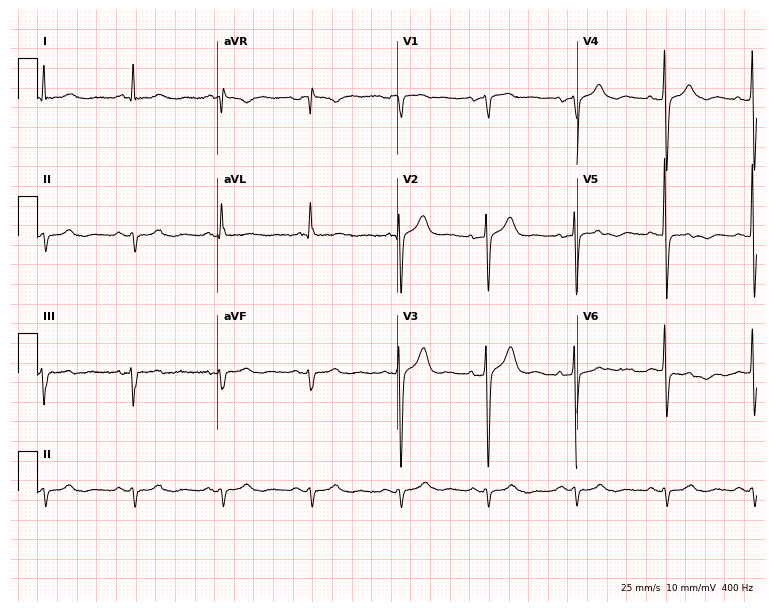
12-lead ECG (7.3-second recording at 400 Hz) from a 79-year-old man. Screened for six findings — first-degree AV block, right bundle branch block, left bundle branch block, sinus bradycardia, atrial fibrillation, sinus tachycardia — none is recorded. Findings outside these six are not listed.